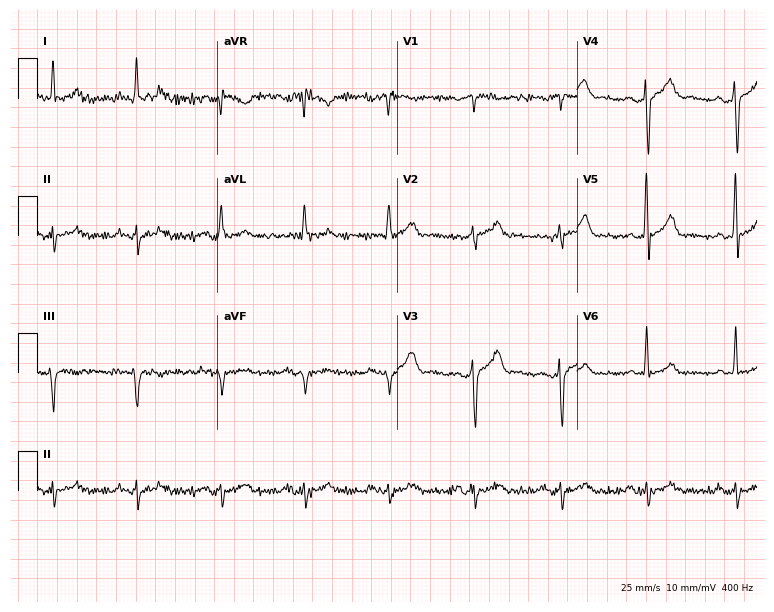
ECG — a 50-year-old male patient. Screened for six findings — first-degree AV block, right bundle branch block, left bundle branch block, sinus bradycardia, atrial fibrillation, sinus tachycardia — none is recorded. Only these six findings were labelled.